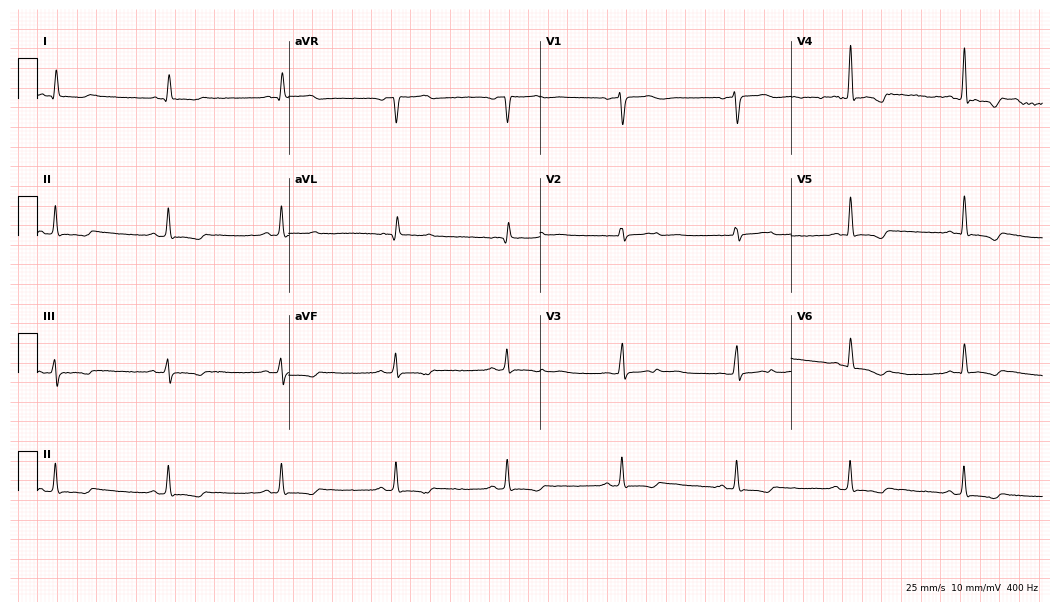
ECG — a 59-year-old female patient. Labelled as a normal ECG.